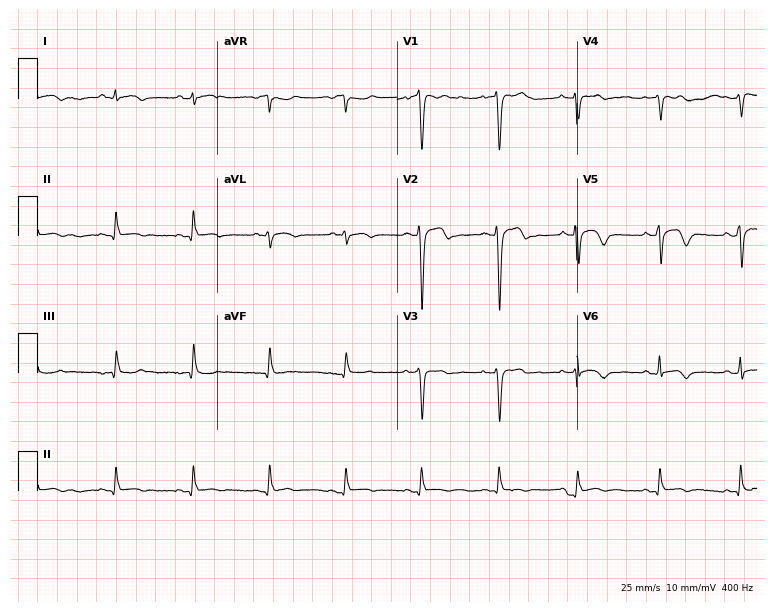
12-lead ECG from a male patient, 27 years old. No first-degree AV block, right bundle branch block, left bundle branch block, sinus bradycardia, atrial fibrillation or sinus tachycardia recorded for this tracing. Findings outside these six are not listed.